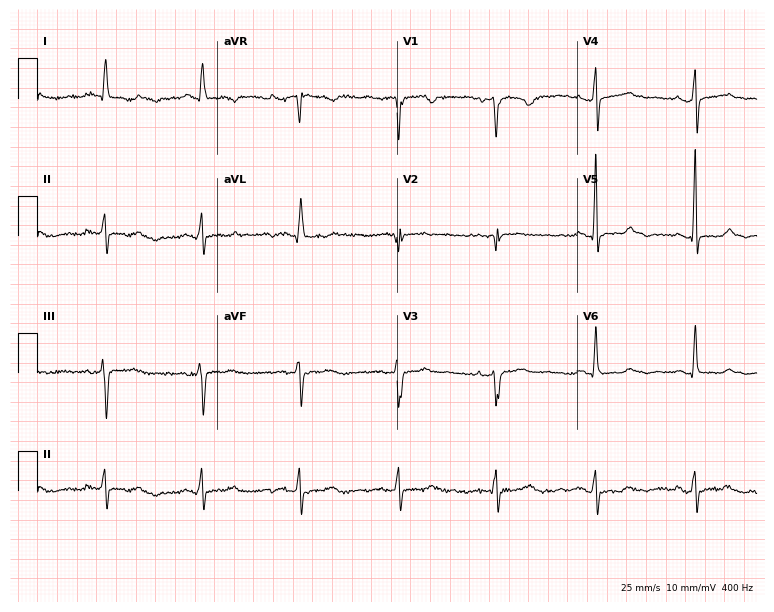
12-lead ECG (7.3-second recording at 400 Hz) from a female patient, 83 years old. Screened for six findings — first-degree AV block, right bundle branch block, left bundle branch block, sinus bradycardia, atrial fibrillation, sinus tachycardia — none is recorded. Only these six findings were labelled.